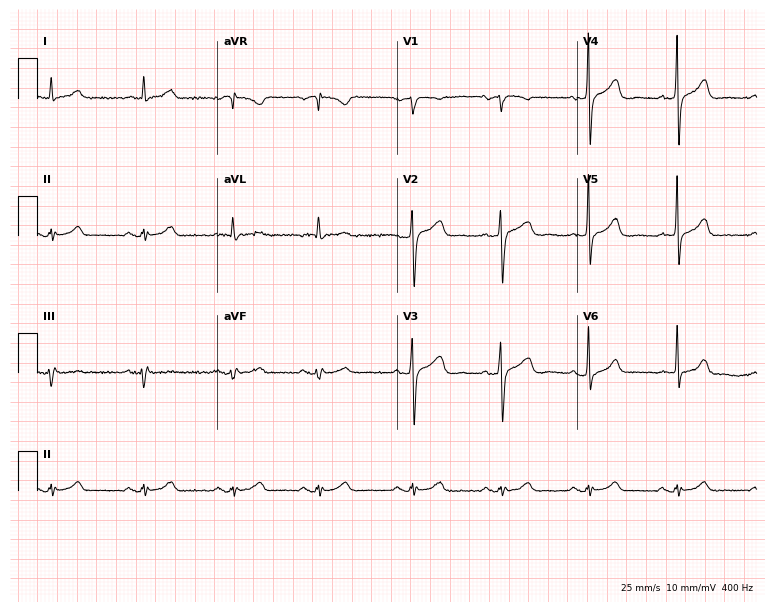
12-lead ECG from a 76-year-old male. Labelled as a normal ECG.